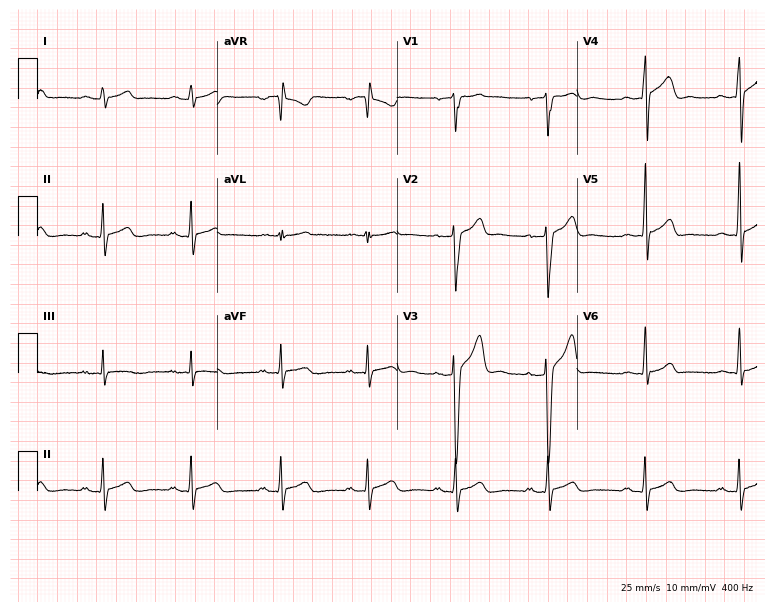
12-lead ECG (7.3-second recording at 400 Hz) from a 20-year-old man. Labelled as a normal ECG.